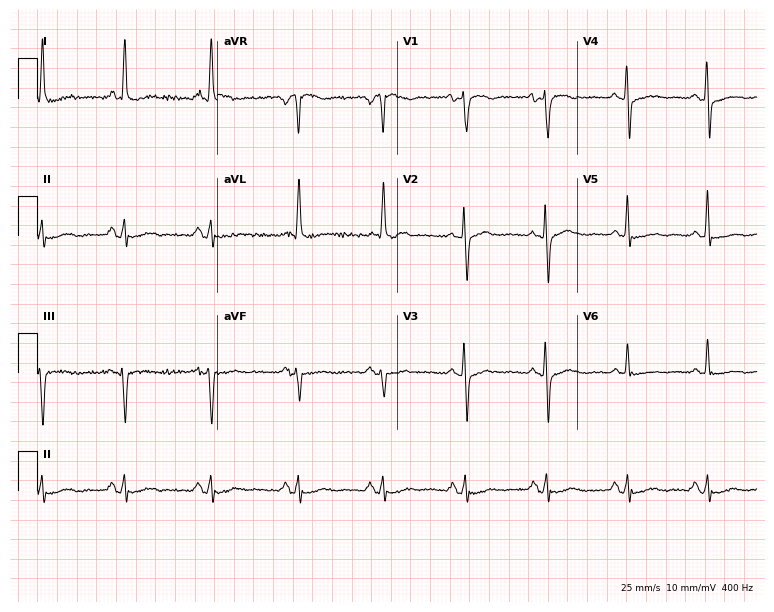
Electrocardiogram (7.3-second recording at 400 Hz), a female, 65 years old. Of the six screened findings (first-degree AV block, right bundle branch block (RBBB), left bundle branch block (LBBB), sinus bradycardia, atrial fibrillation (AF), sinus tachycardia), none is recorded.